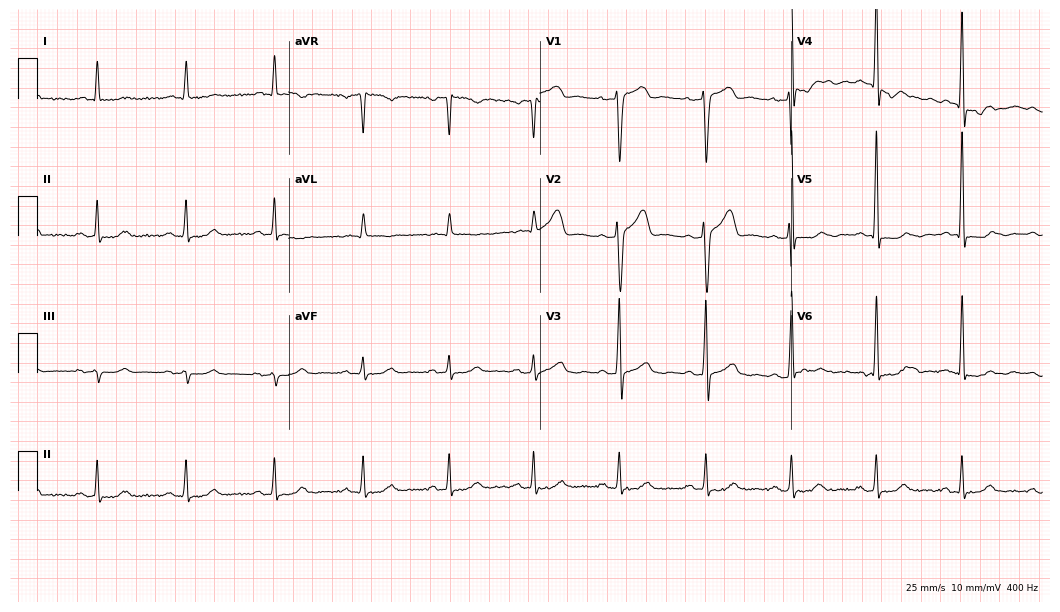
Electrocardiogram, a male patient, 54 years old. Overall reading on record: normal ECG.